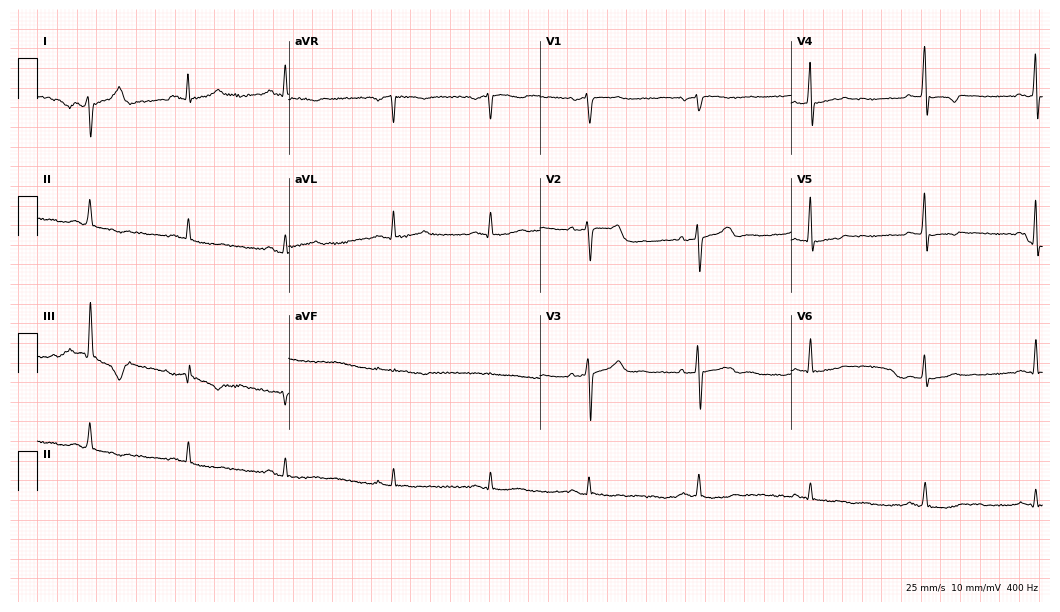
Standard 12-lead ECG recorded from a male, 41 years old. None of these six findings is recorded: first-degree AV block, right bundle branch block (RBBB), left bundle branch block (LBBB), sinus bradycardia, atrial fibrillation (AF), sinus tachycardia.